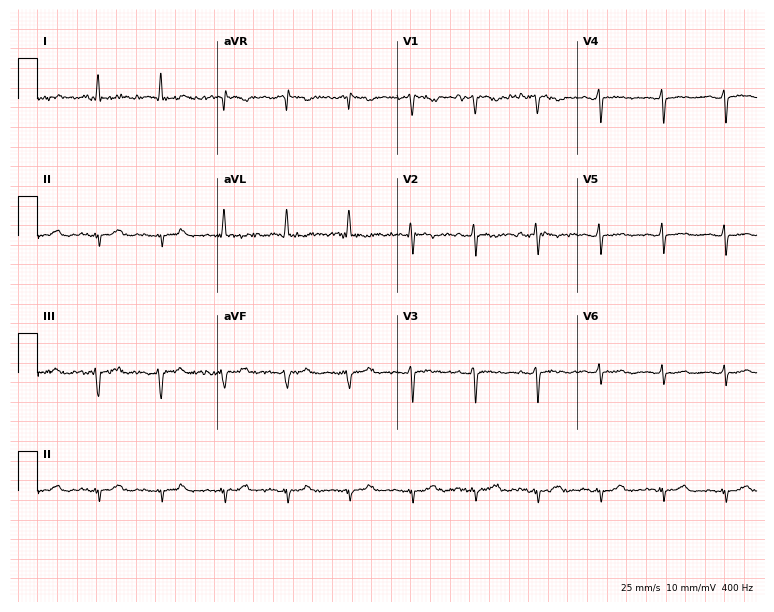
Resting 12-lead electrocardiogram. Patient: a 67-year-old woman. None of these six findings is recorded: first-degree AV block, right bundle branch block (RBBB), left bundle branch block (LBBB), sinus bradycardia, atrial fibrillation (AF), sinus tachycardia. Findings outside these six are not listed.